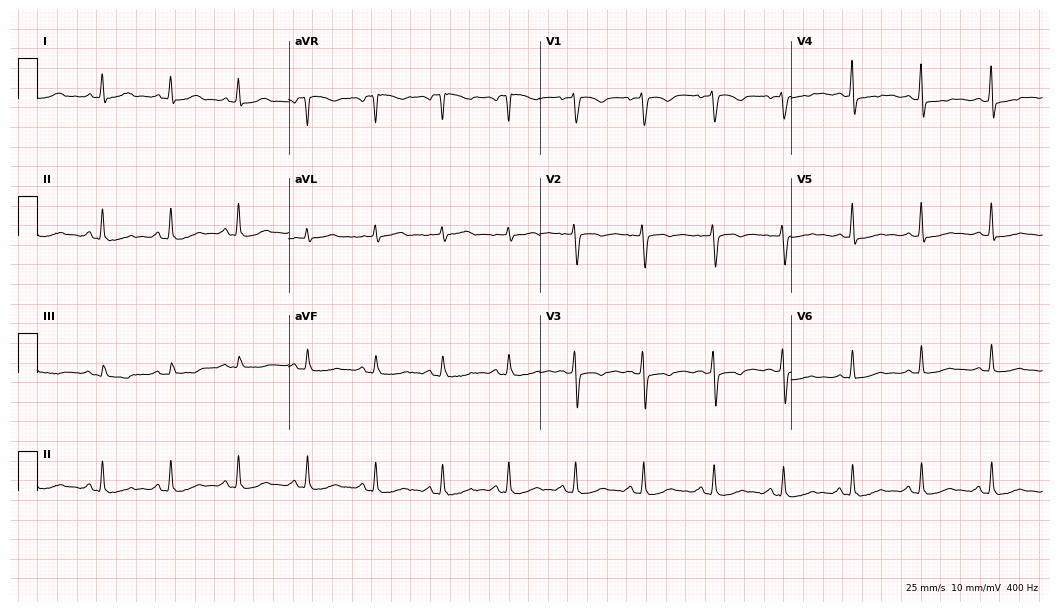
12-lead ECG from a female, 50 years old. Screened for six findings — first-degree AV block, right bundle branch block, left bundle branch block, sinus bradycardia, atrial fibrillation, sinus tachycardia — none is recorded.